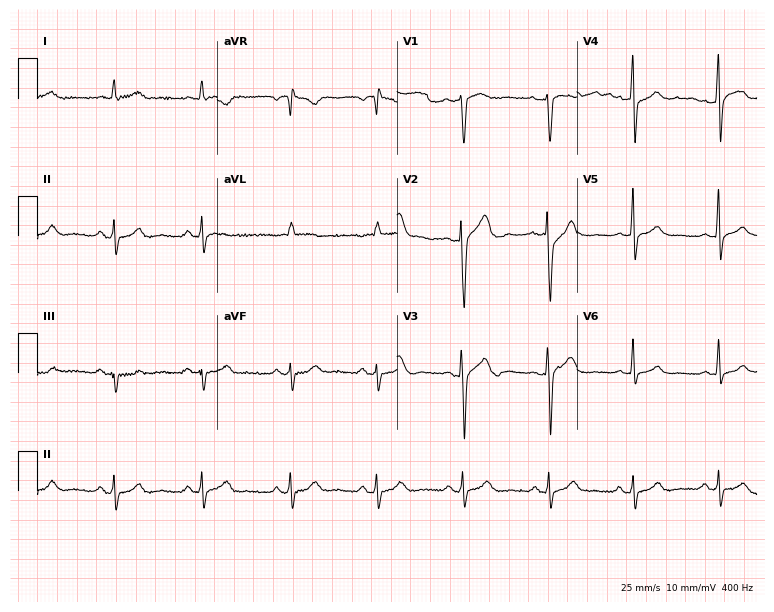
ECG — a man, 31 years old. Labelled as a normal ECG.